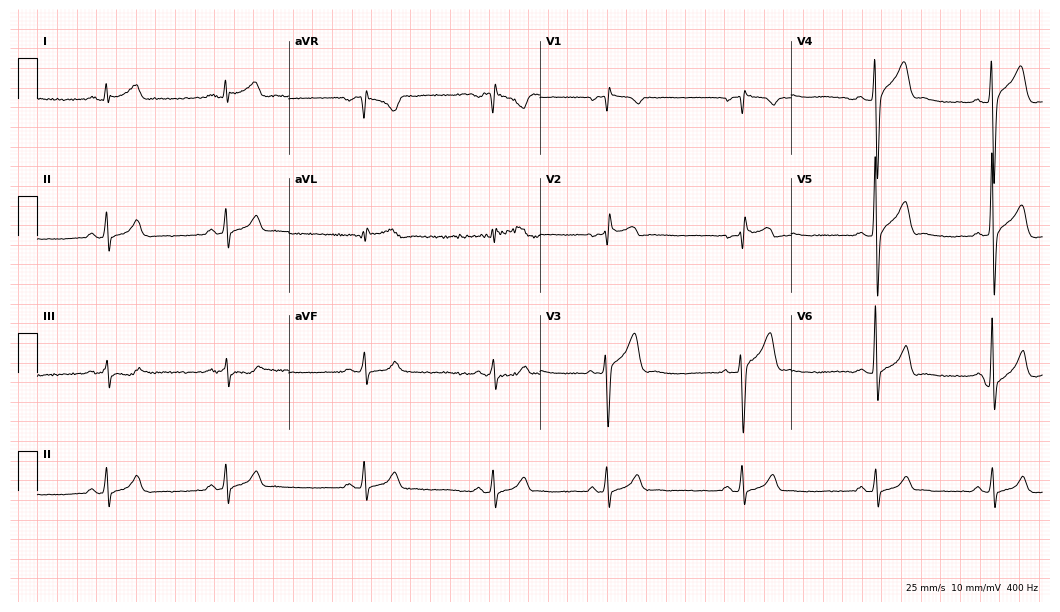
Resting 12-lead electrocardiogram. Patient: a 24-year-old male. None of these six findings is recorded: first-degree AV block, right bundle branch block, left bundle branch block, sinus bradycardia, atrial fibrillation, sinus tachycardia. Other findings, if any, are not listed.